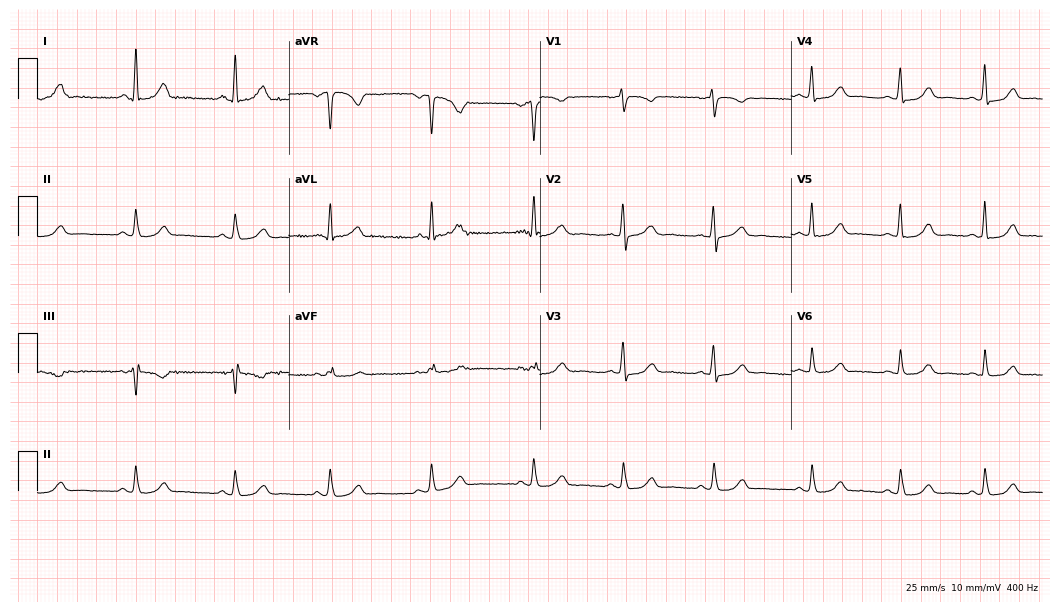
Electrocardiogram, a female, 43 years old. Overall reading on record: normal ECG.